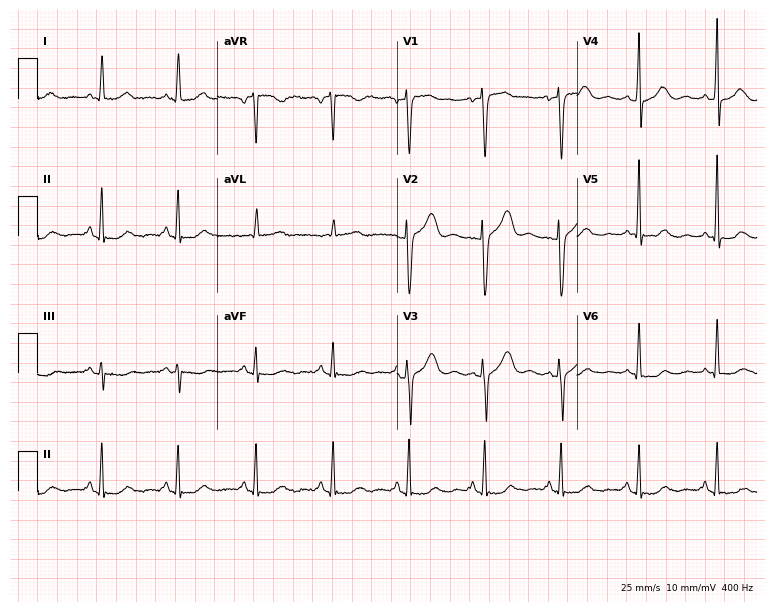
12-lead ECG (7.3-second recording at 400 Hz) from a 65-year-old man. Labelled as a normal ECG.